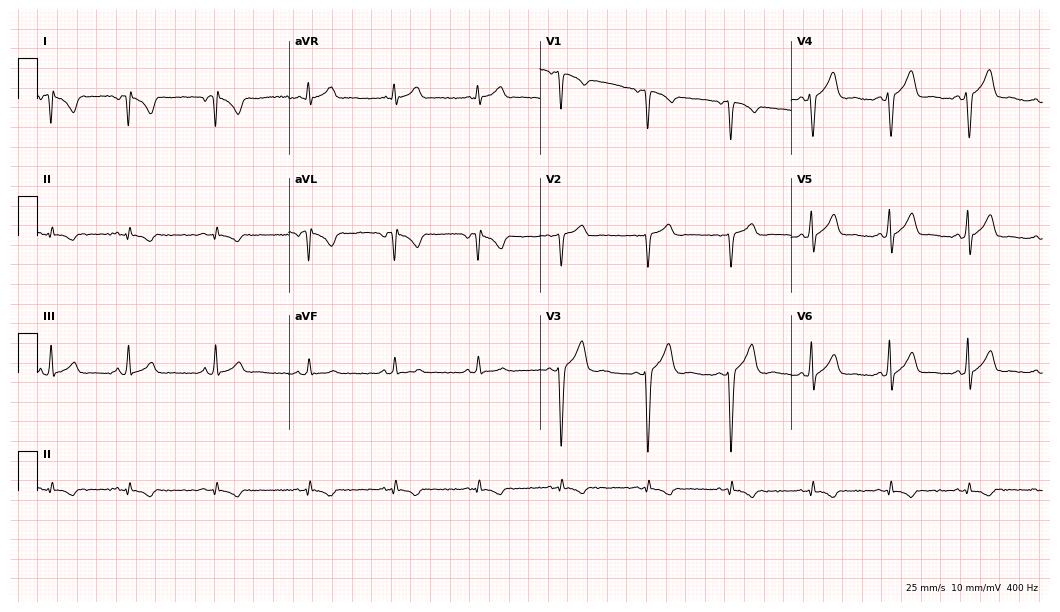
Electrocardiogram (10.2-second recording at 400 Hz), a man, 24 years old. Of the six screened findings (first-degree AV block, right bundle branch block, left bundle branch block, sinus bradycardia, atrial fibrillation, sinus tachycardia), none is recorded. Other findings, if any, are not listed.